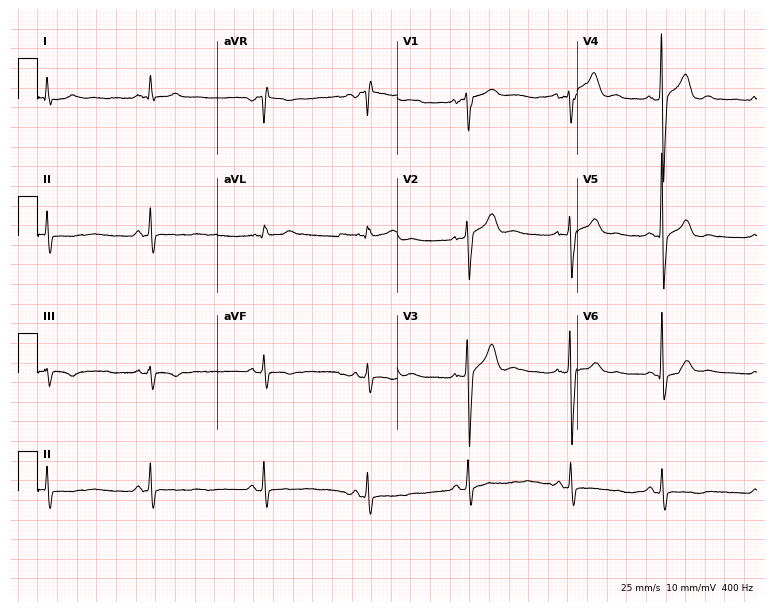
Electrocardiogram (7.3-second recording at 400 Hz), a man, 30 years old. Overall reading on record: normal ECG.